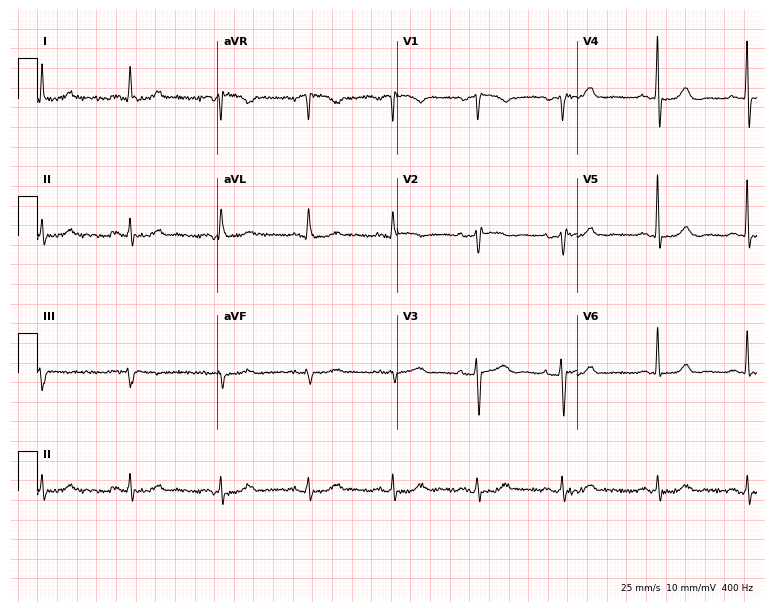
12-lead ECG (7.3-second recording at 400 Hz) from a female, 70 years old. Labelled as a normal ECG.